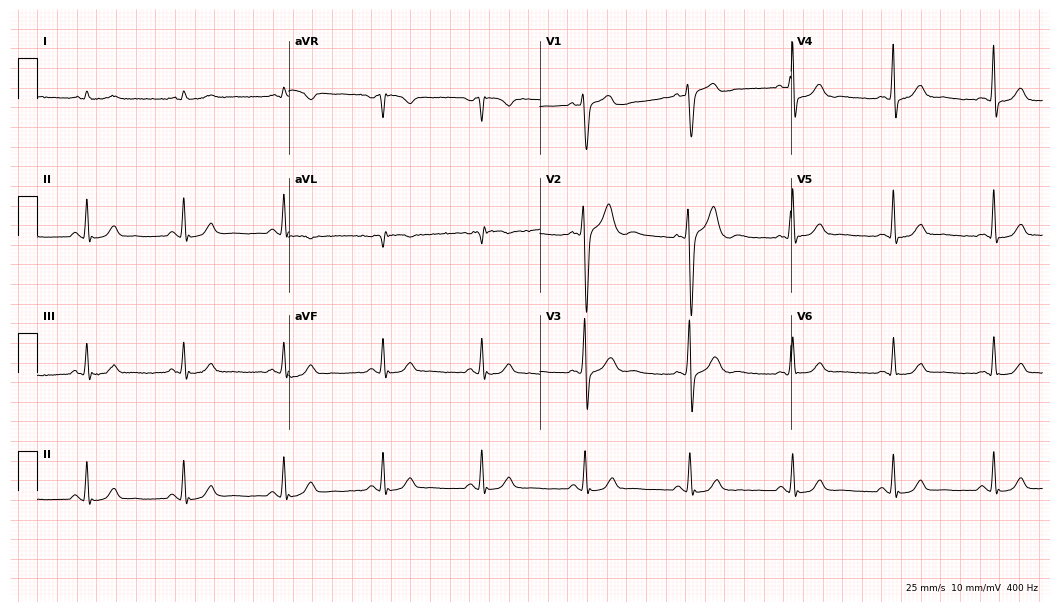
ECG — a 49-year-old man. Screened for six findings — first-degree AV block, right bundle branch block (RBBB), left bundle branch block (LBBB), sinus bradycardia, atrial fibrillation (AF), sinus tachycardia — none is recorded.